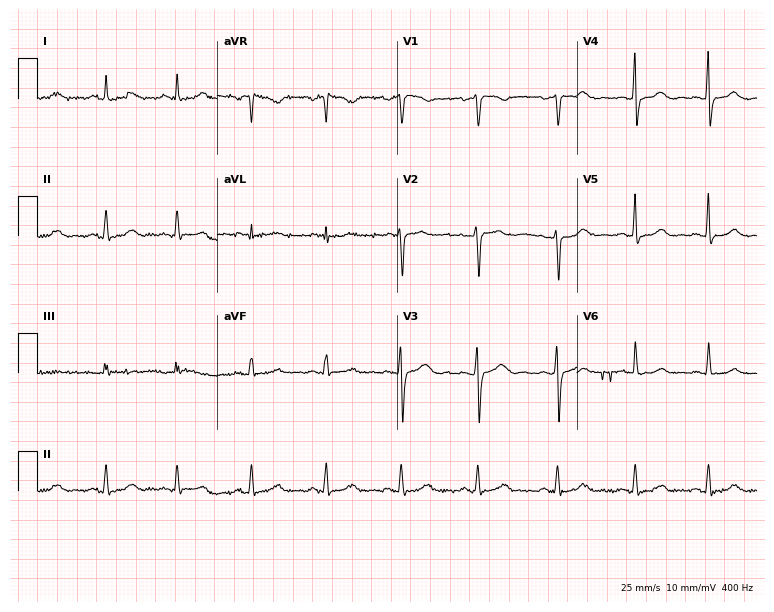
12-lead ECG from a 44-year-old woman (7.3-second recording at 400 Hz). Recorded interpretation: within normal limits.